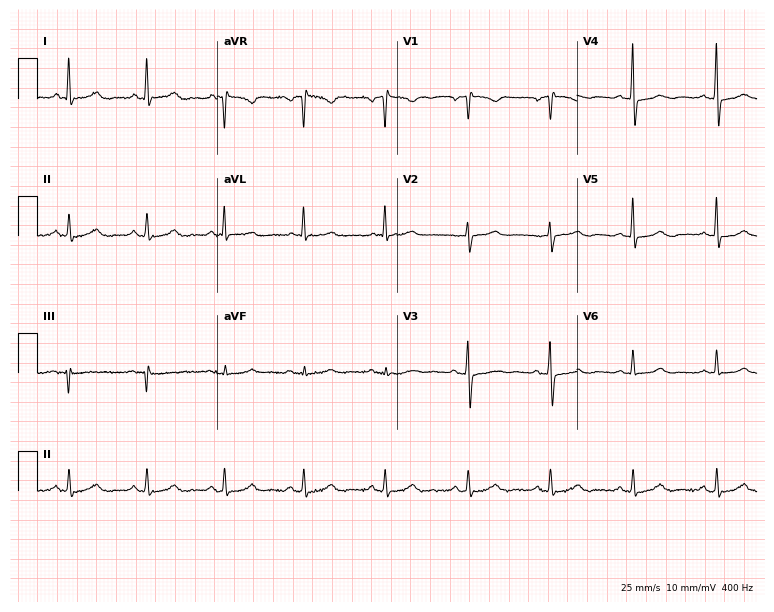
ECG — a female, 62 years old. Screened for six findings — first-degree AV block, right bundle branch block, left bundle branch block, sinus bradycardia, atrial fibrillation, sinus tachycardia — none is recorded. Other findings, if any, are not listed.